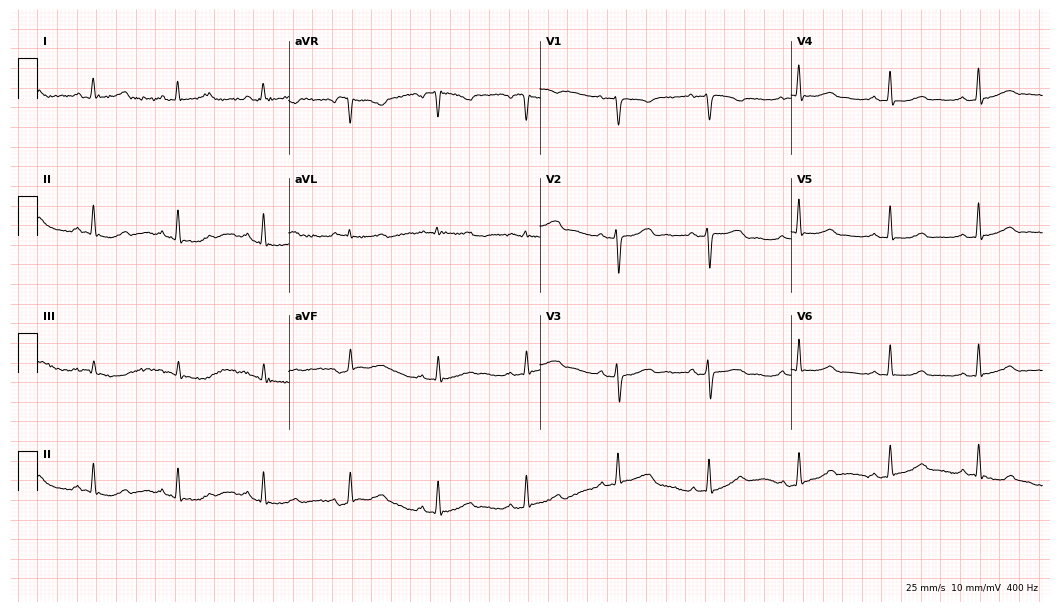
12-lead ECG from a woman, 41 years old. Recorded interpretation: within normal limits.